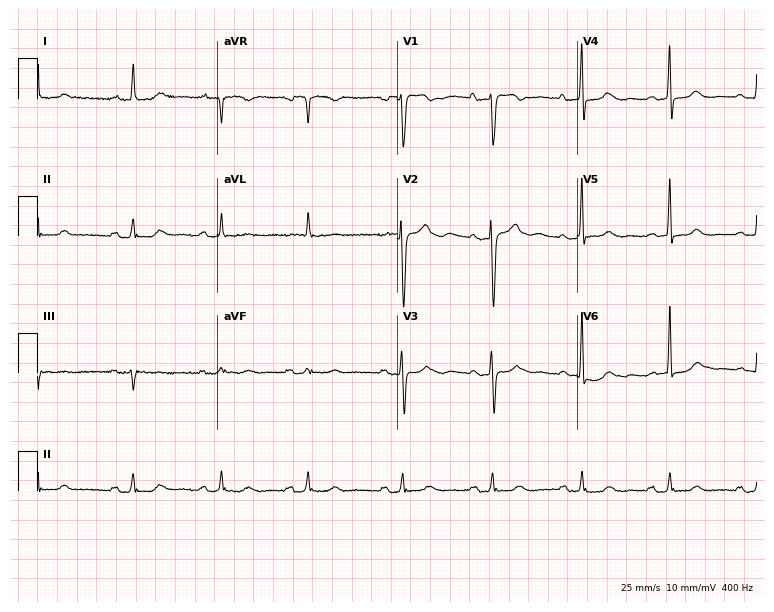
12-lead ECG from a female, 73 years old. No first-degree AV block, right bundle branch block (RBBB), left bundle branch block (LBBB), sinus bradycardia, atrial fibrillation (AF) or sinus tachycardia recorded for this tracing. Findings outside these six are not listed.